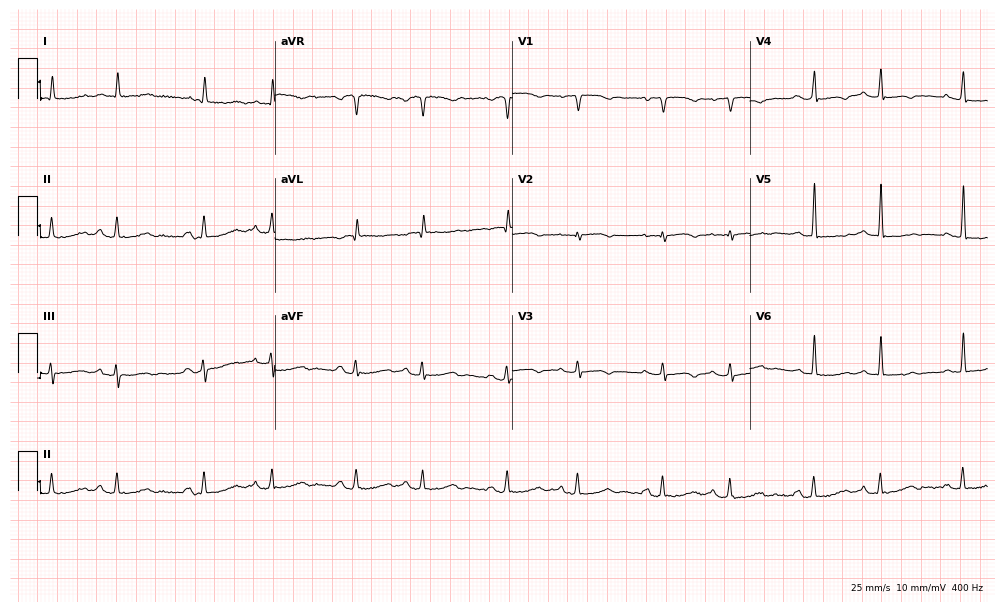
Electrocardiogram (9.7-second recording at 400 Hz), an 84-year-old female patient. Of the six screened findings (first-degree AV block, right bundle branch block (RBBB), left bundle branch block (LBBB), sinus bradycardia, atrial fibrillation (AF), sinus tachycardia), none is recorded.